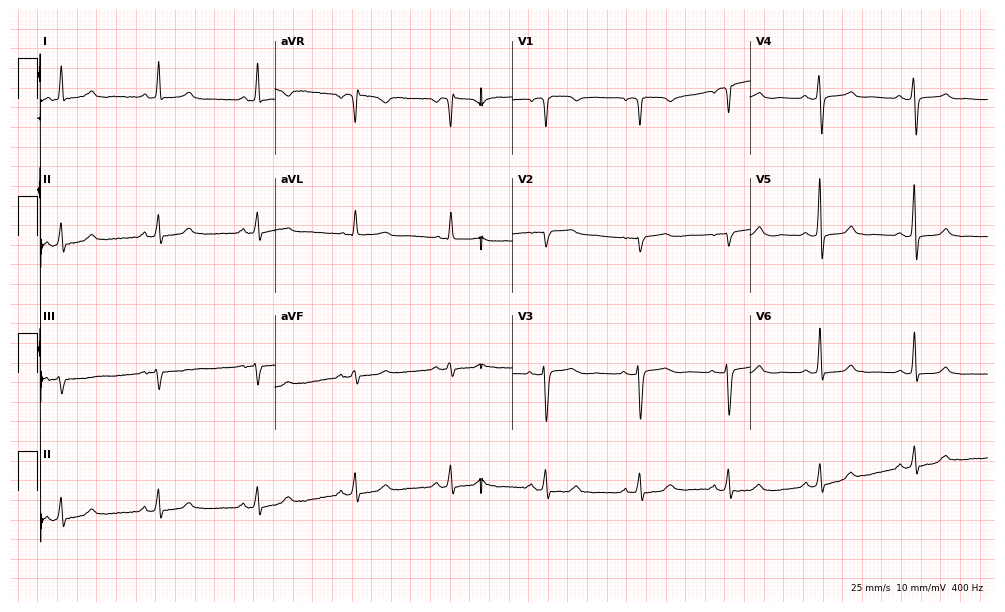
12-lead ECG from a female patient, 60 years old. Screened for six findings — first-degree AV block, right bundle branch block, left bundle branch block, sinus bradycardia, atrial fibrillation, sinus tachycardia — none is recorded.